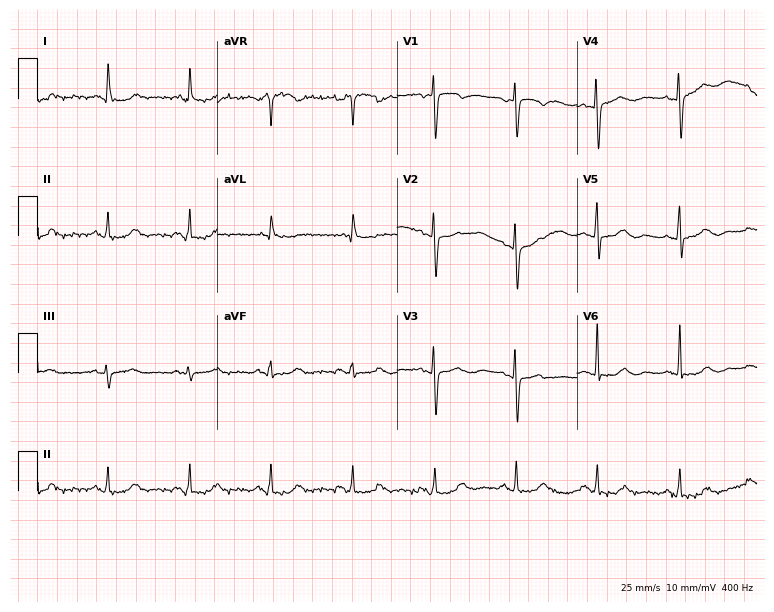
Resting 12-lead electrocardiogram. Patient: a 73-year-old female. None of these six findings is recorded: first-degree AV block, right bundle branch block (RBBB), left bundle branch block (LBBB), sinus bradycardia, atrial fibrillation (AF), sinus tachycardia.